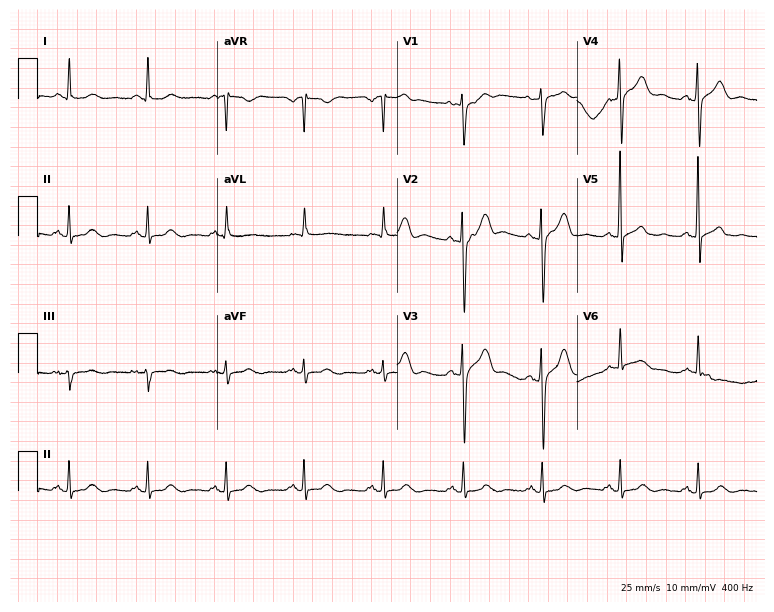
12-lead ECG from a 57-year-old male patient (7.3-second recording at 400 Hz). Recorded interpretation: within normal limits.